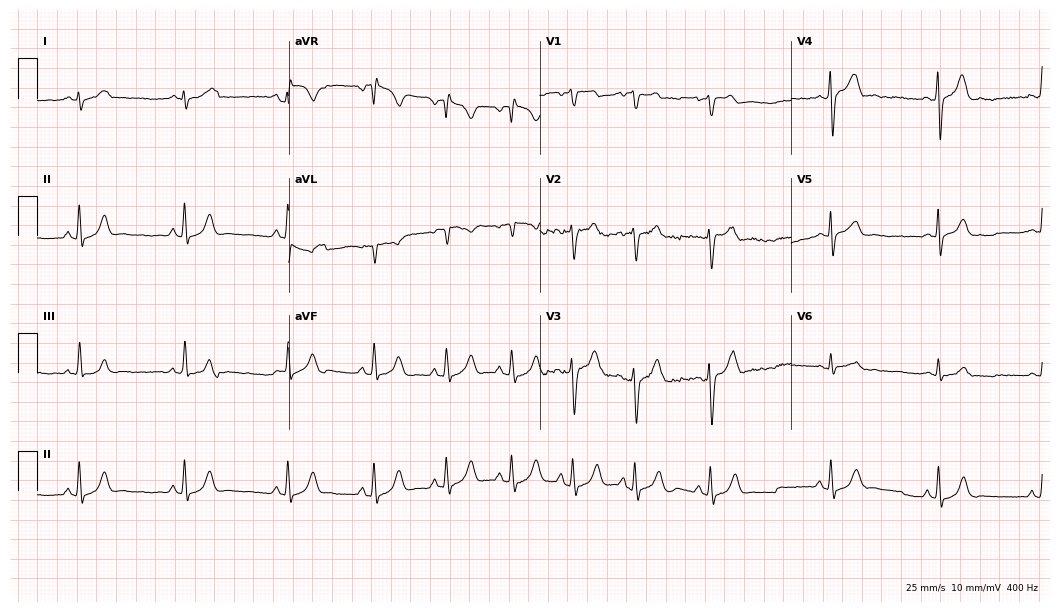
ECG (10.2-second recording at 400 Hz) — a 17-year-old male patient. Screened for six findings — first-degree AV block, right bundle branch block, left bundle branch block, sinus bradycardia, atrial fibrillation, sinus tachycardia — none is recorded. Other findings, if any, are not listed.